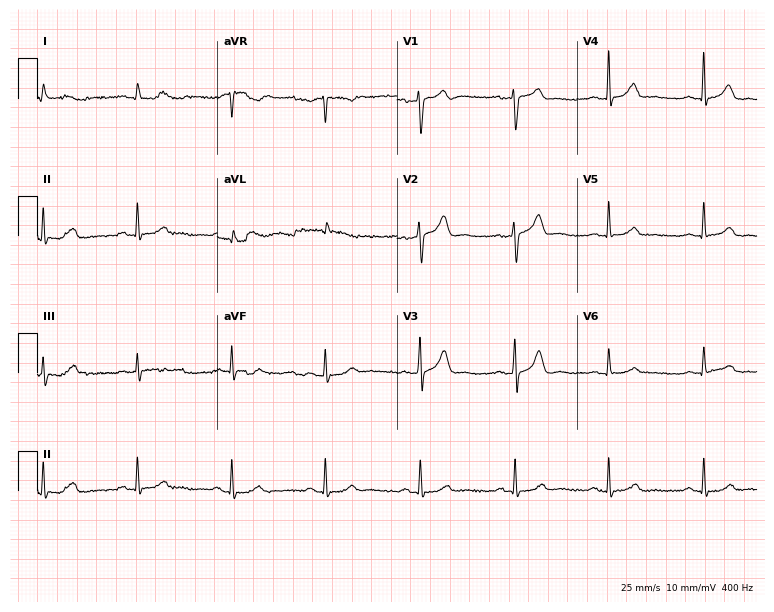
12-lead ECG (7.3-second recording at 400 Hz) from a man, 70 years old. Screened for six findings — first-degree AV block, right bundle branch block, left bundle branch block, sinus bradycardia, atrial fibrillation, sinus tachycardia — none is recorded.